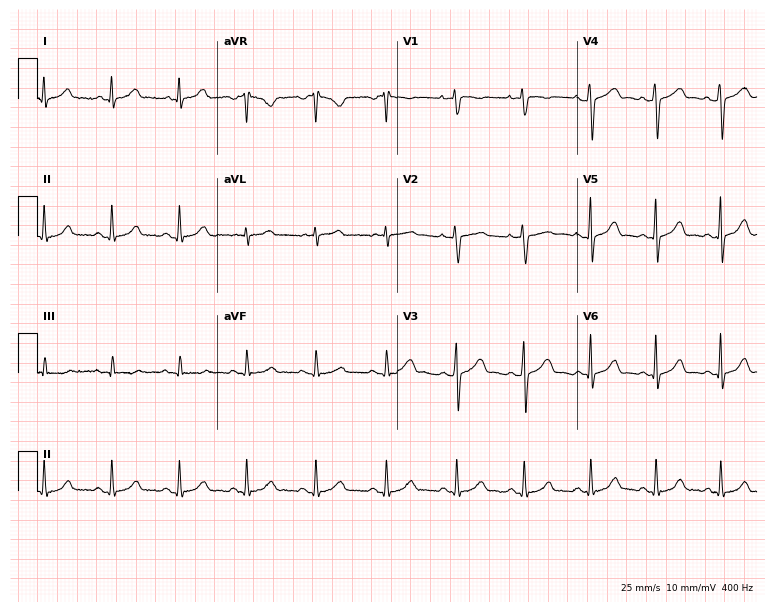
Electrocardiogram (7.3-second recording at 400 Hz), a 28-year-old female patient. Overall reading on record: normal ECG.